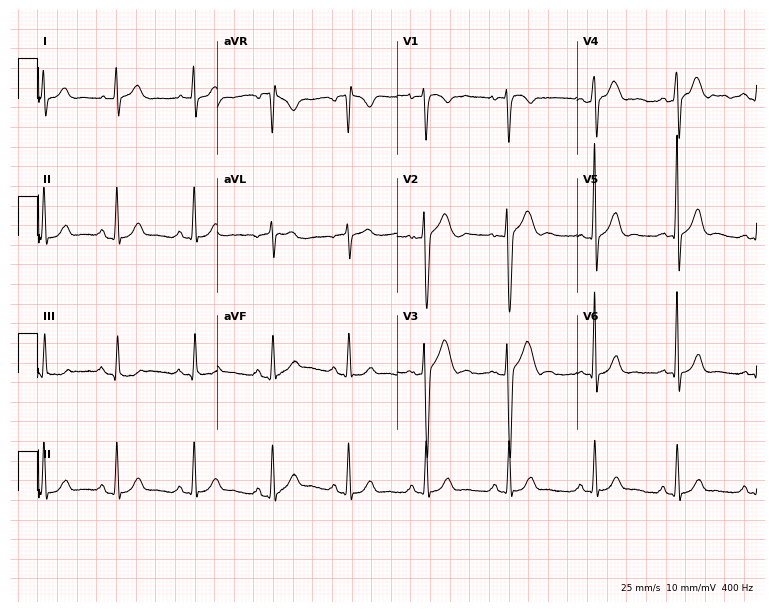
12-lead ECG (7.3-second recording at 400 Hz) from a male patient, 28 years old. Screened for six findings — first-degree AV block, right bundle branch block (RBBB), left bundle branch block (LBBB), sinus bradycardia, atrial fibrillation (AF), sinus tachycardia — none is recorded.